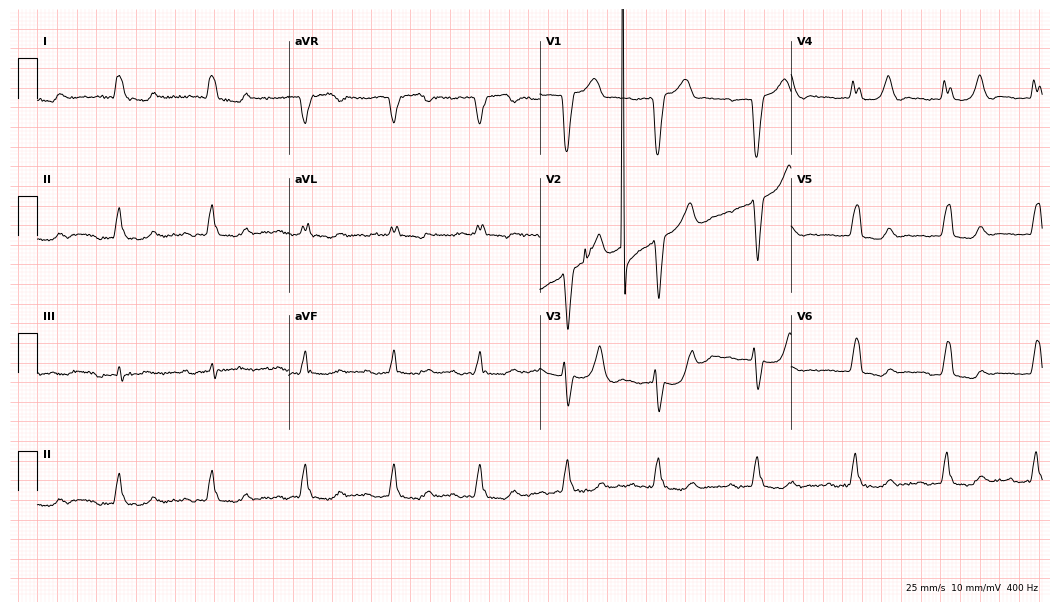
12-lead ECG from a 76-year-old male patient. Screened for six findings — first-degree AV block, right bundle branch block, left bundle branch block, sinus bradycardia, atrial fibrillation, sinus tachycardia — none is recorded.